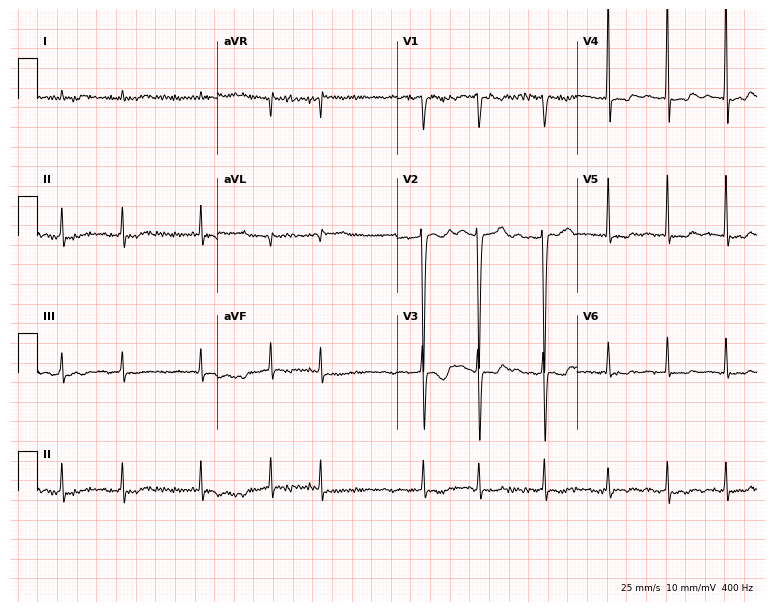
ECG — a 64-year-old male patient. Findings include atrial fibrillation.